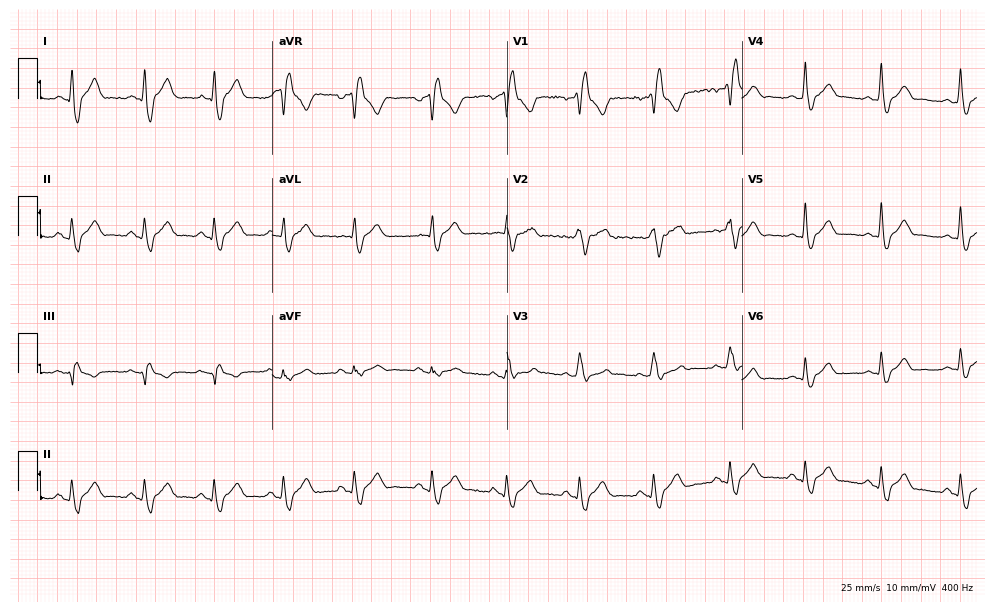
Standard 12-lead ECG recorded from a male patient, 38 years old. The tracing shows right bundle branch block.